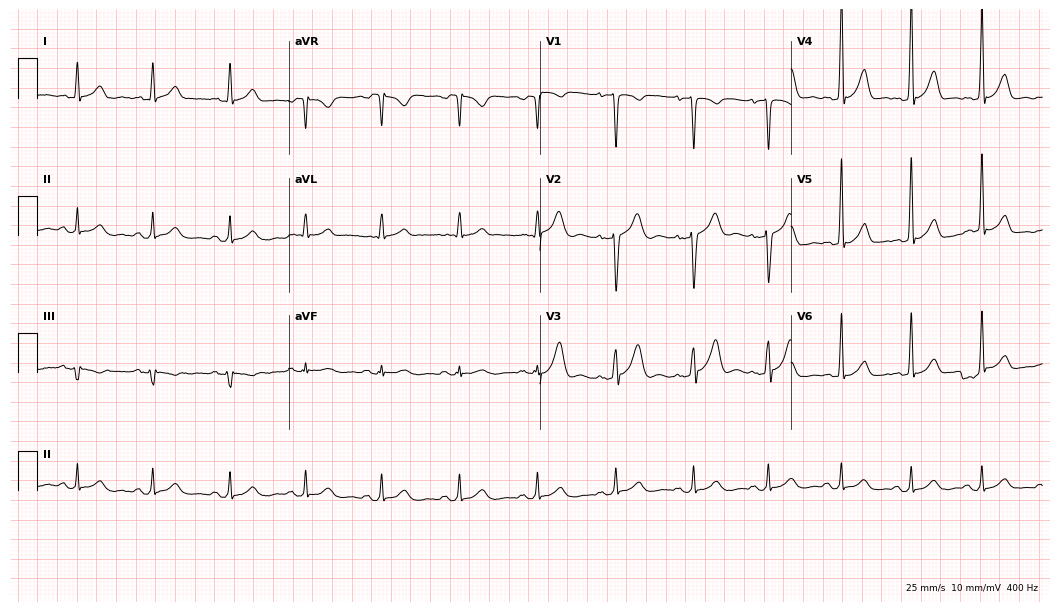
Electrocardiogram (10.2-second recording at 400 Hz), a 43-year-old male patient. Of the six screened findings (first-degree AV block, right bundle branch block, left bundle branch block, sinus bradycardia, atrial fibrillation, sinus tachycardia), none is recorded. Only these six findings were labelled.